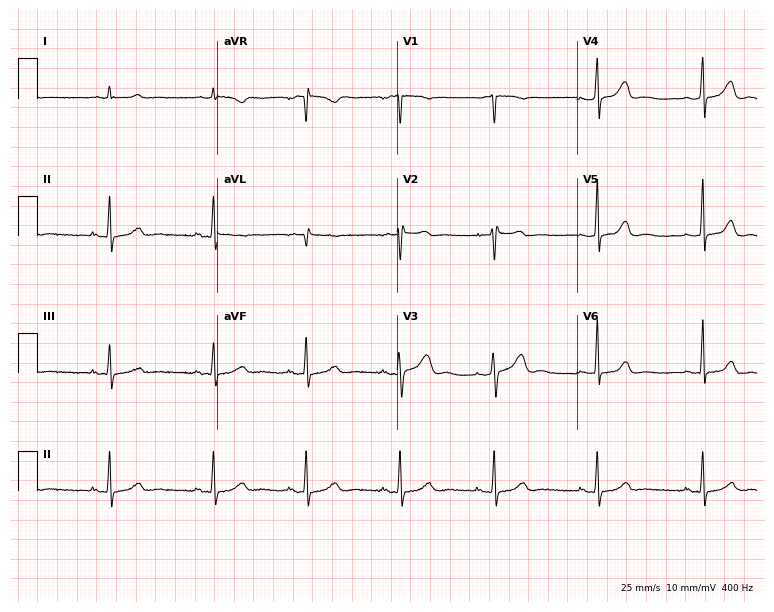
Electrocardiogram, a 33-year-old female patient. Of the six screened findings (first-degree AV block, right bundle branch block (RBBB), left bundle branch block (LBBB), sinus bradycardia, atrial fibrillation (AF), sinus tachycardia), none is recorded. Other findings, if any, are not listed.